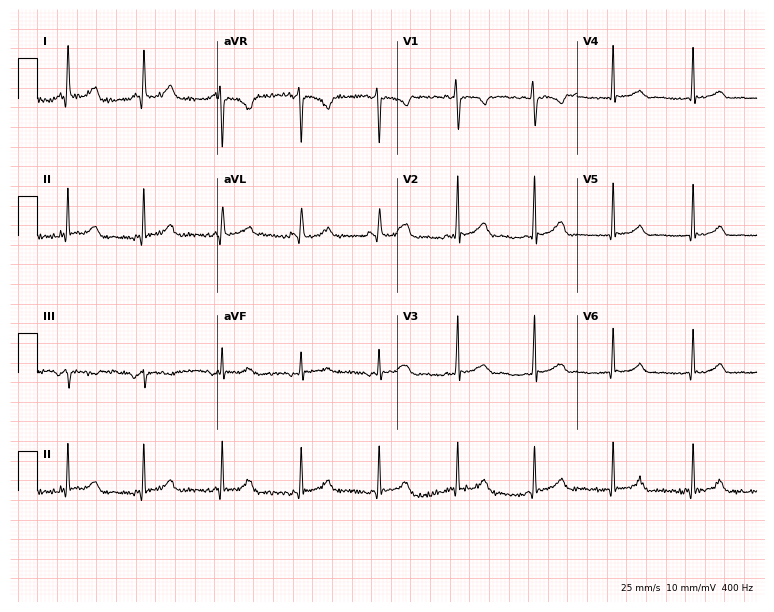
12-lead ECG from a 29-year-old female patient. No first-degree AV block, right bundle branch block (RBBB), left bundle branch block (LBBB), sinus bradycardia, atrial fibrillation (AF) or sinus tachycardia recorded for this tracing.